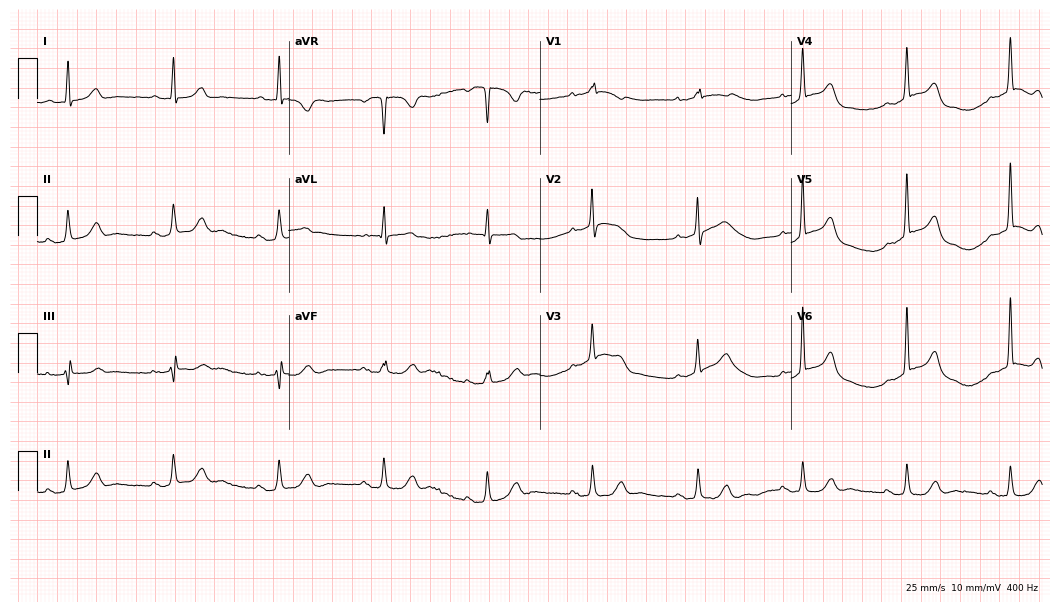
Electrocardiogram (10.2-second recording at 400 Hz), a female, 82 years old. Of the six screened findings (first-degree AV block, right bundle branch block, left bundle branch block, sinus bradycardia, atrial fibrillation, sinus tachycardia), none is recorded. Findings outside these six are not listed.